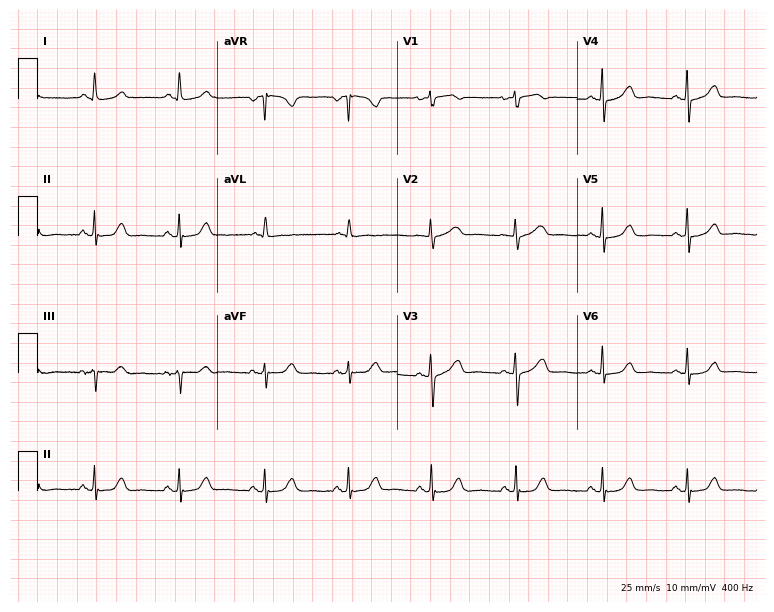
Resting 12-lead electrocardiogram. Patient: a female, 59 years old. Read as a normal ECG.